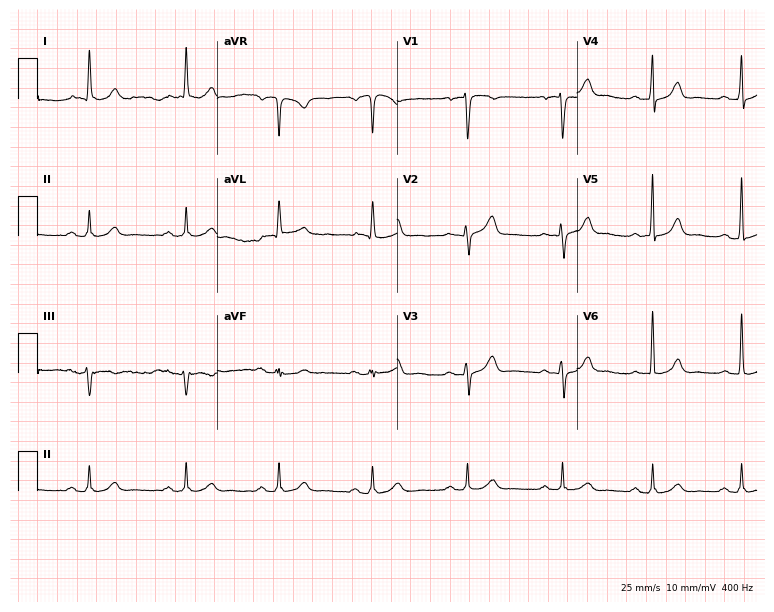
Standard 12-lead ECG recorded from a 72-year-old male. Read as a normal ECG.